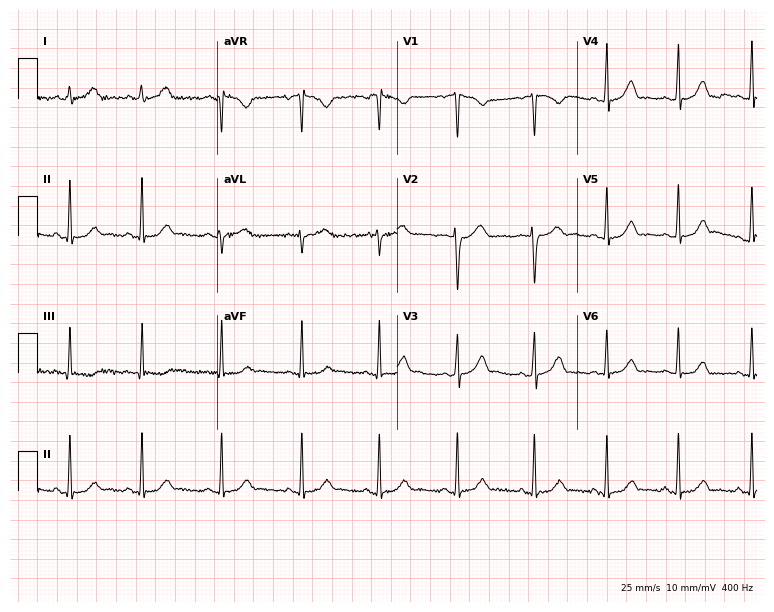
12-lead ECG from a female, 17 years old (7.3-second recording at 400 Hz). Recorded interpretation: within normal limits.